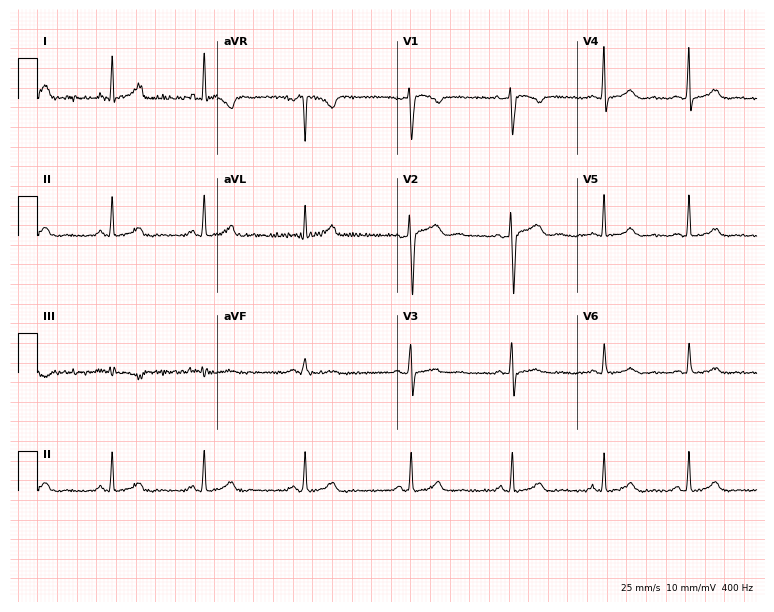
12-lead ECG from a 38-year-old woman. Screened for six findings — first-degree AV block, right bundle branch block, left bundle branch block, sinus bradycardia, atrial fibrillation, sinus tachycardia — none is recorded. Findings outside these six are not listed.